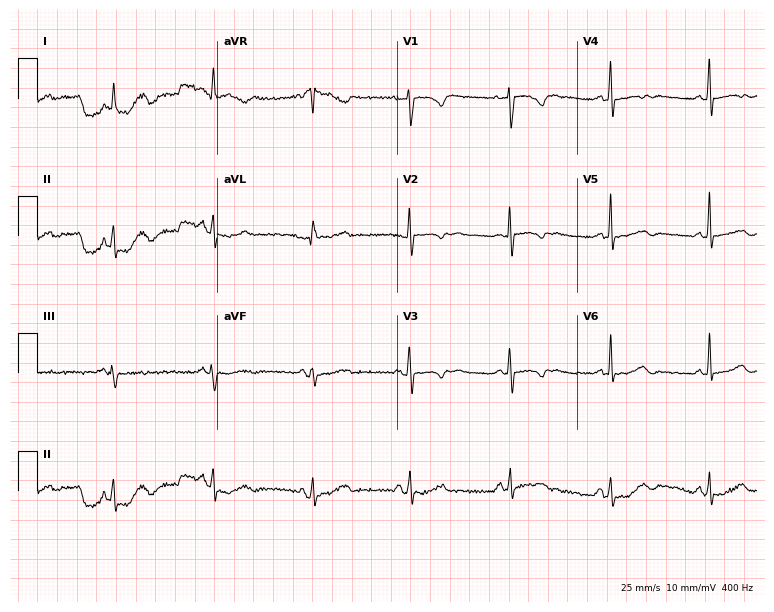
Standard 12-lead ECG recorded from a female, 42 years old (7.3-second recording at 400 Hz). None of these six findings is recorded: first-degree AV block, right bundle branch block, left bundle branch block, sinus bradycardia, atrial fibrillation, sinus tachycardia. Other findings, if any, are not listed.